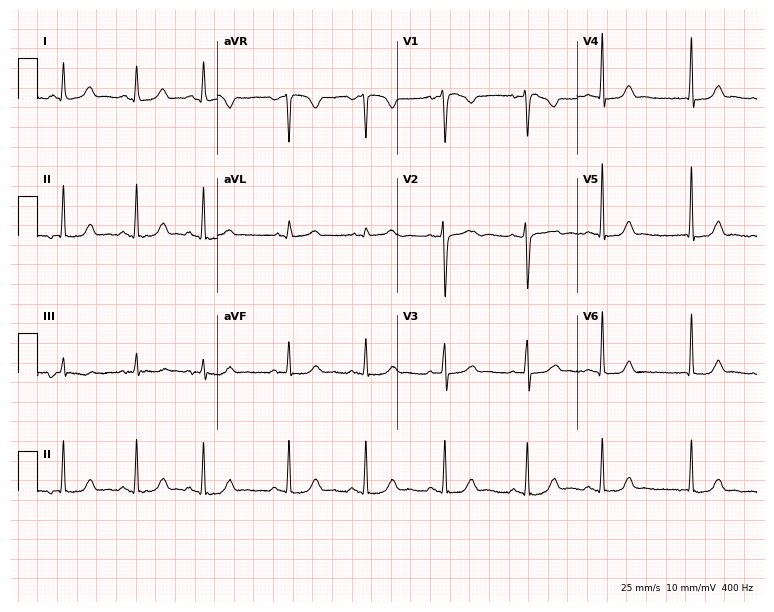
Electrocardiogram, a woman, 26 years old. Of the six screened findings (first-degree AV block, right bundle branch block, left bundle branch block, sinus bradycardia, atrial fibrillation, sinus tachycardia), none is recorded. Other findings, if any, are not listed.